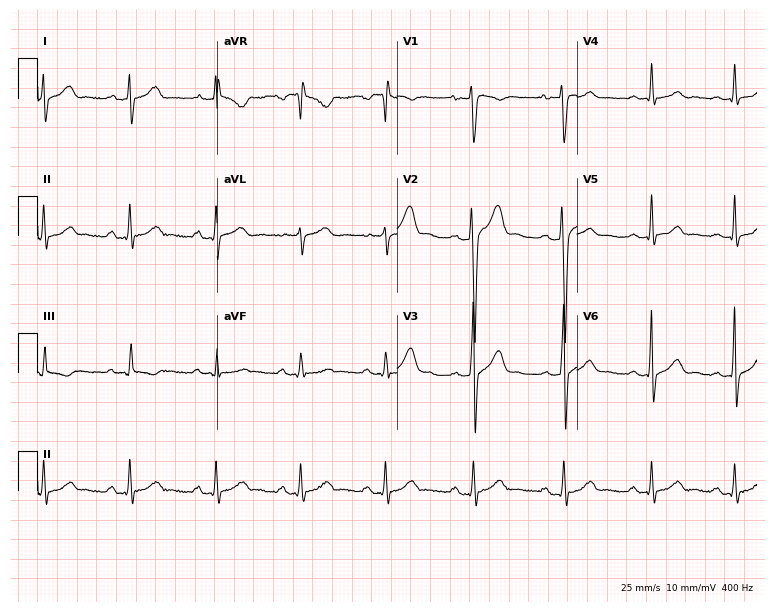
12-lead ECG (7.3-second recording at 400 Hz) from a 29-year-old man. Labelled as a normal ECG.